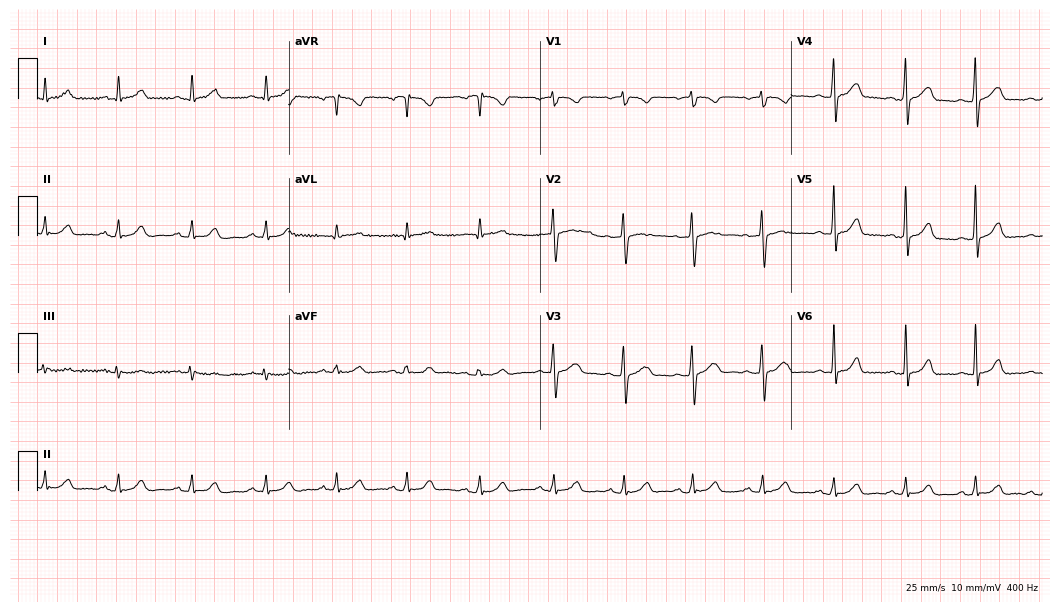
ECG (10.2-second recording at 400 Hz) — a 40-year-old woman. Labelled as a normal ECG.